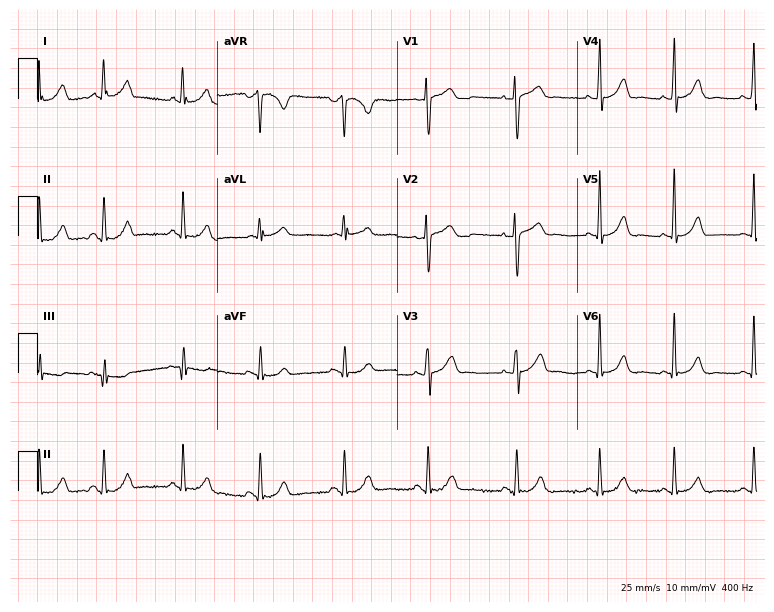
12-lead ECG from a female patient, 26 years old. Labelled as a normal ECG.